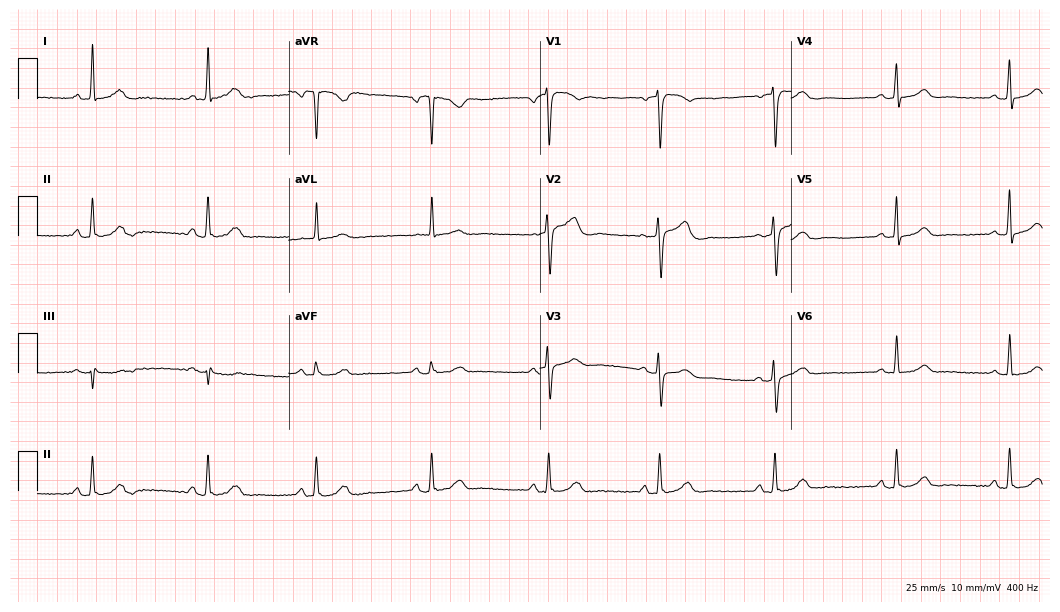
ECG (10.2-second recording at 400 Hz) — a 58-year-old female. Findings include sinus bradycardia (a sinus rate of 50 beats per minute or less).